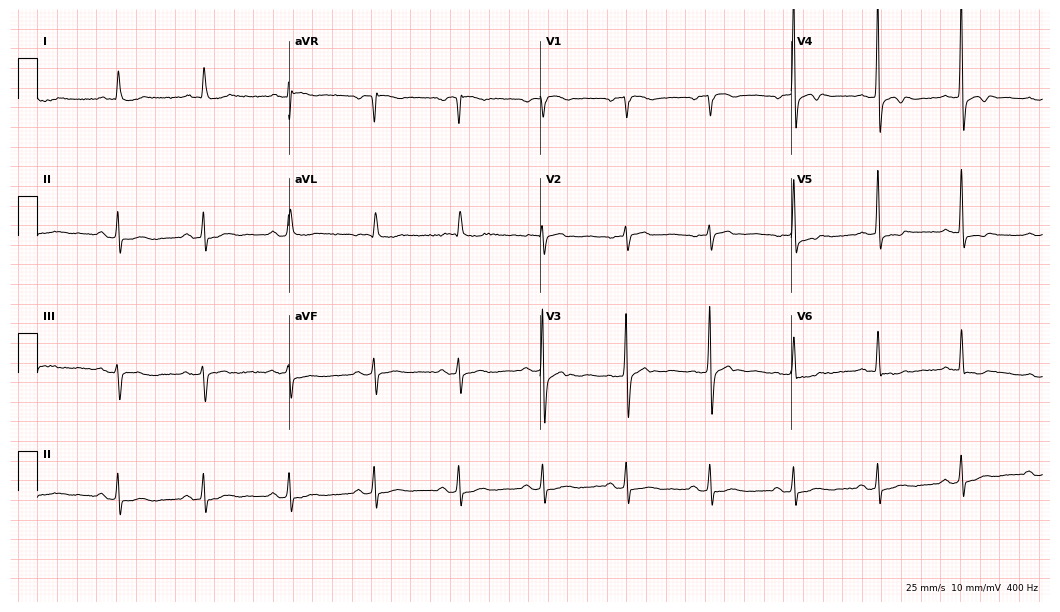
12-lead ECG from a female patient, 74 years old (10.2-second recording at 400 Hz). No first-degree AV block, right bundle branch block, left bundle branch block, sinus bradycardia, atrial fibrillation or sinus tachycardia recorded for this tracing.